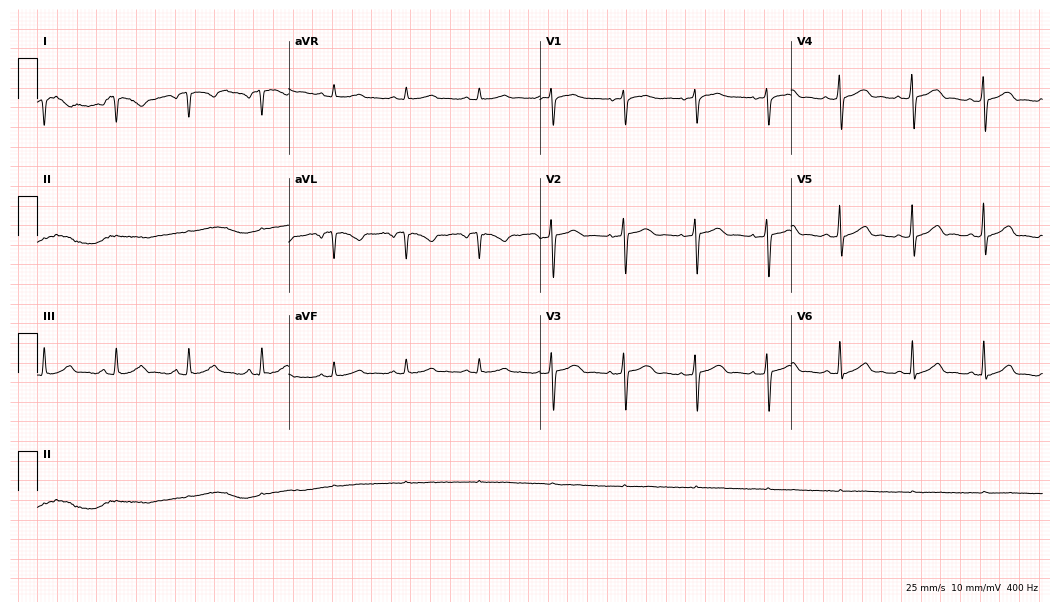
12-lead ECG from a female, 46 years old (10.2-second recording at 400 Hz). No first-degree AV block, right bundle branch block, left bundle branch block, sinus bradycardia, atrial fibrillation or sinus tachycardia recorded for this tracing.